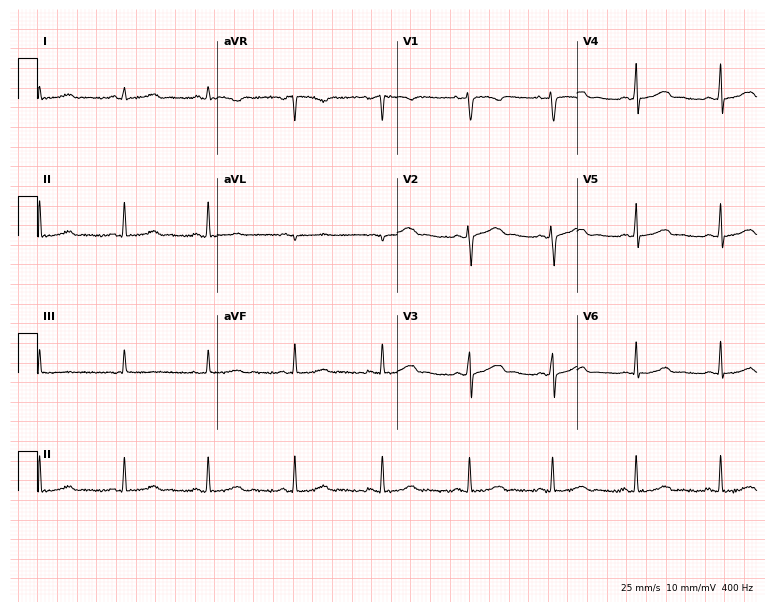
12-lead ECG from a 34-year-old female patient. Labelled as a normal ECG.